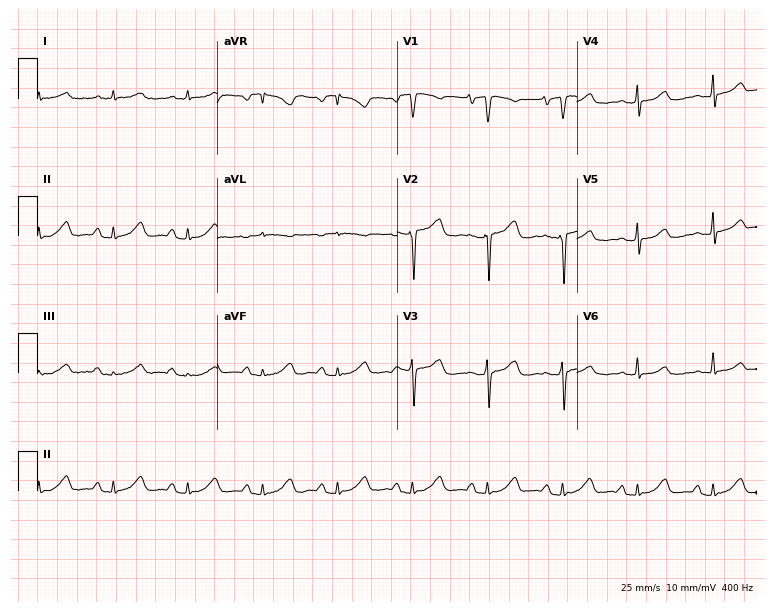
12-lead ECG from a woman, 59 years old. Screened for six findings — first-degree AV block, right bundle branch block, left bundle branch block, sinus bradycardia, atrial fibrillation, sinus tachycardia — none is recorded.